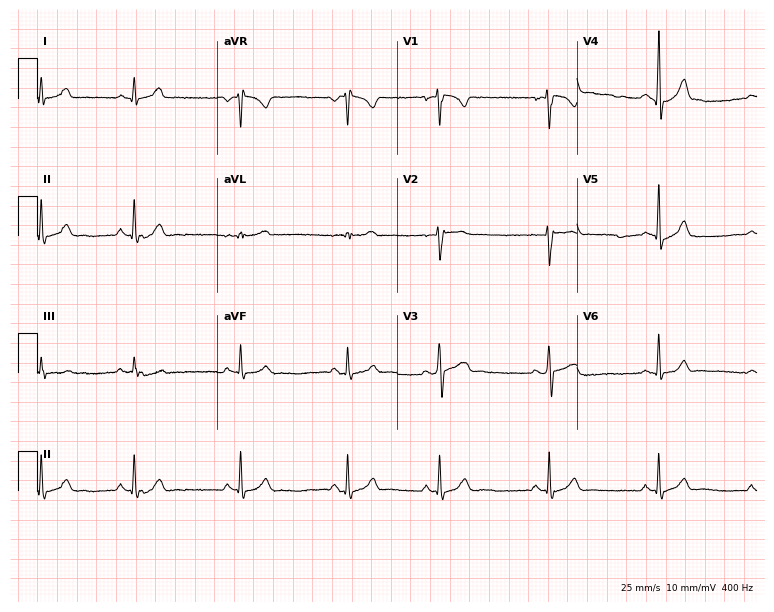
Resting 12-lead electrocardiogram (7.3-second recording at 400 Hz). Patient: an 18-year-old male. Read as a normal ECG.